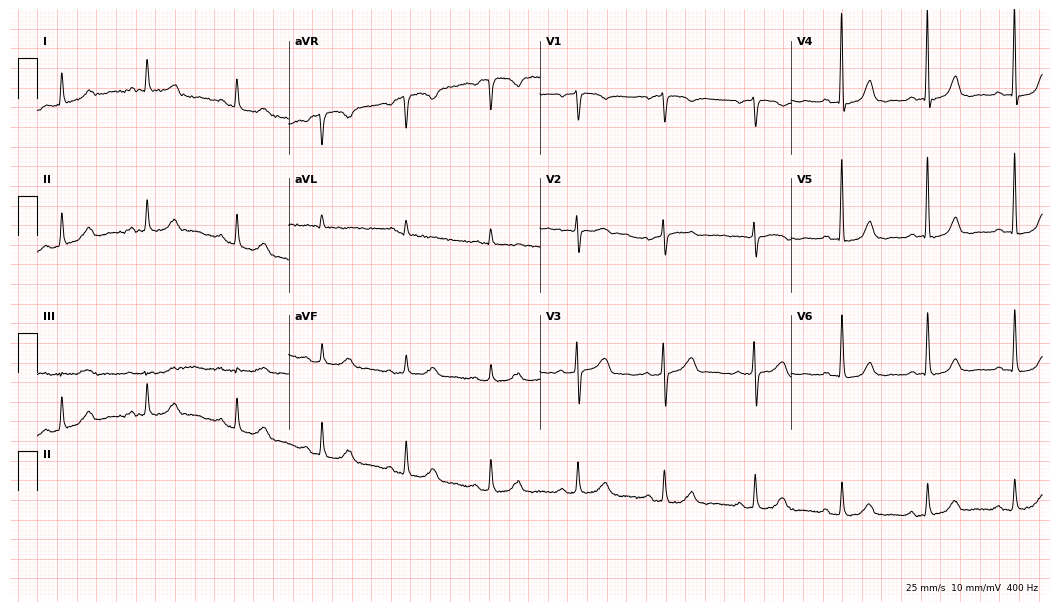
12-lead ECG from an 82-year-old man (10.2-second recording at 400 Hz). Recorded interpretation: within normal limits.